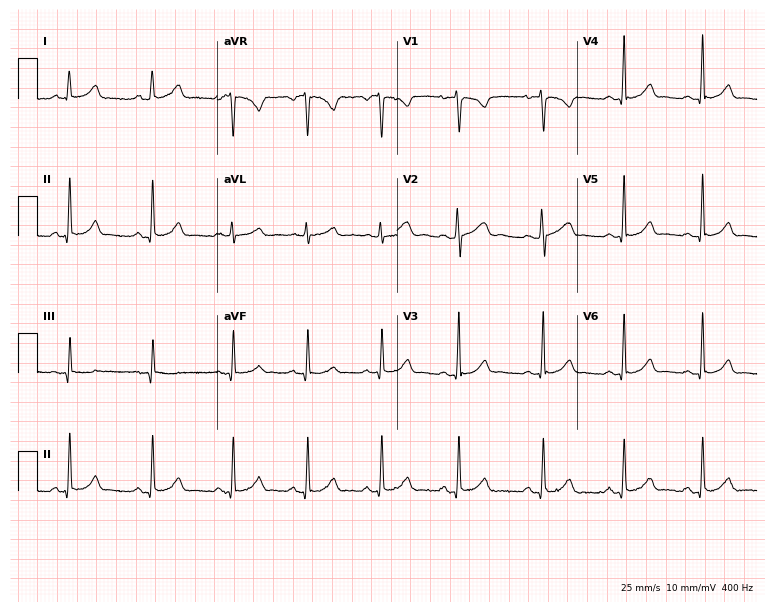
Electrocardiogram, a woman, 17 years old. Overall reading on record: normal ECG.